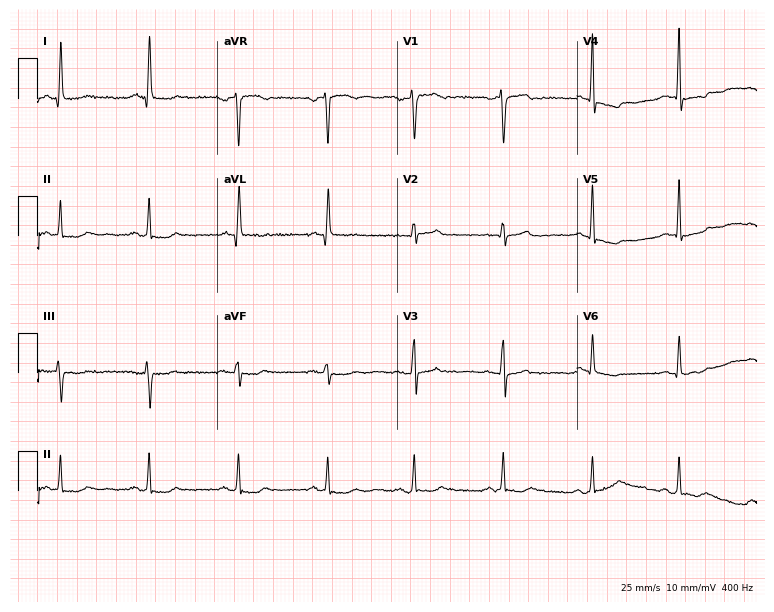
ECG (7.3-second recording at 400 Hz) — a female patient, 51 years old. Screened for six findings — first-degree AV block, right bundle branch block, left bundle branch block, sinus bradycardia, atrial fibrillation, sinus tachycardia — none is recorded.